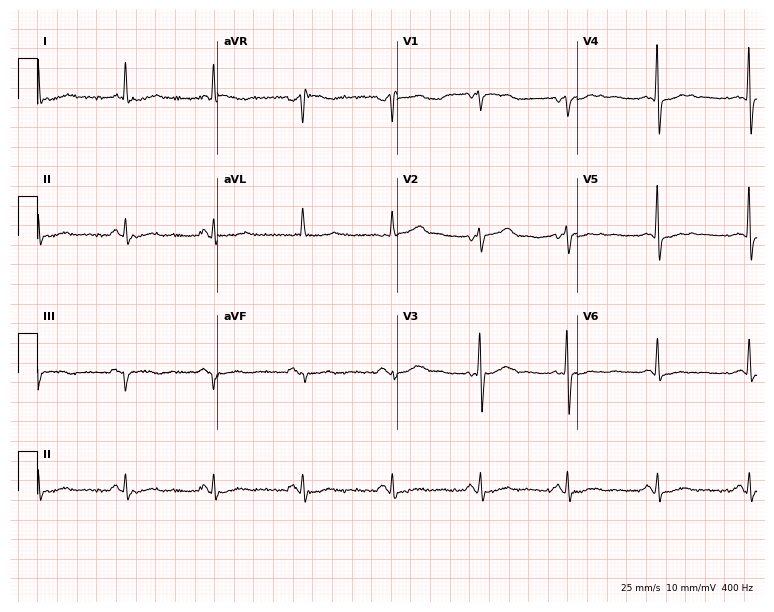
12-lead ECG from a 71-year-old male. No first-degree AV block, right bundle branch block, left bundle branch block, sinus bradycardia, atrial fibrillation or sinus tachycardia recorded for this tracing.